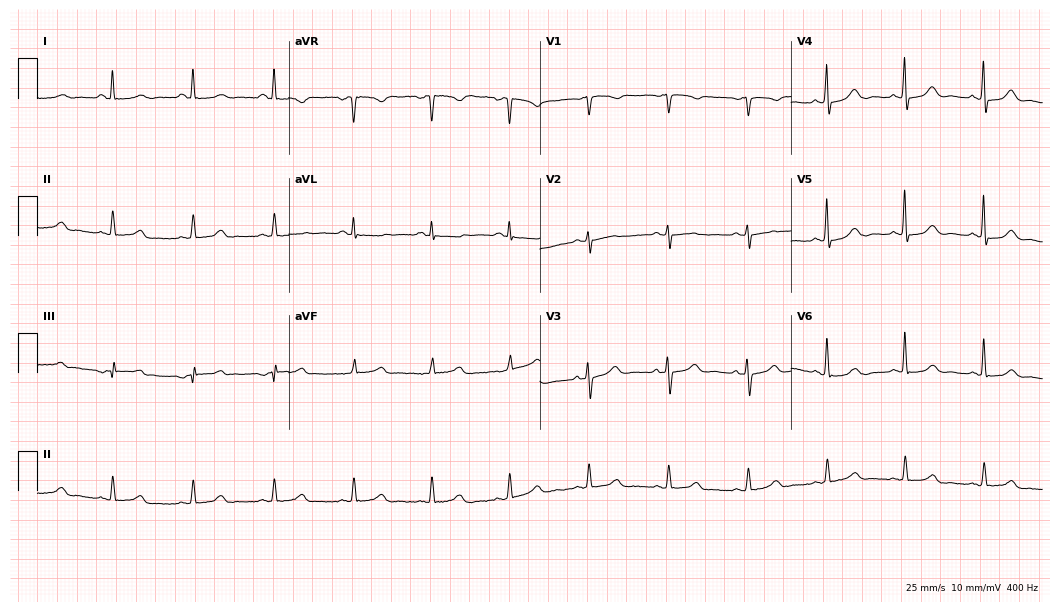
Standard 12-lead ECG recorded from a 73-year-old woman (10.2-second recording at 400 Hz). Read as a normal ECG.